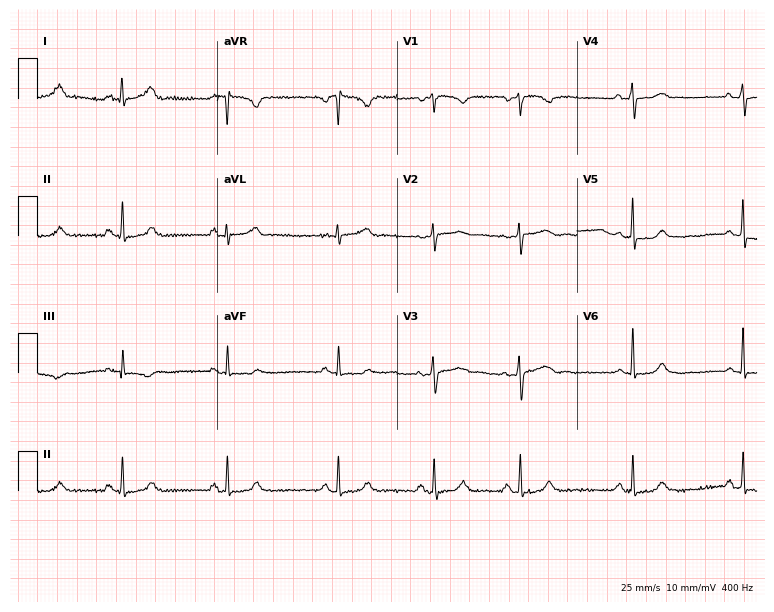
ECG — a female patient, 25 years old. Labelled as a normal ECG.